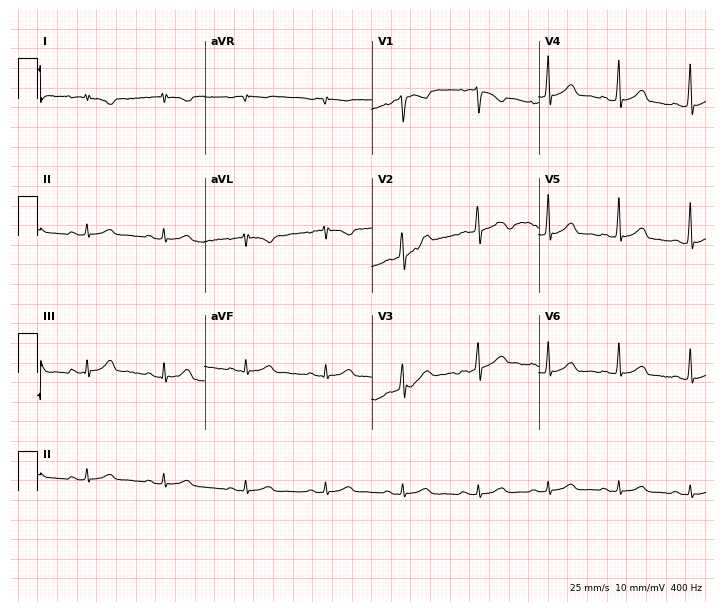
12-lead ECG from a 23-year-old female patient (6.8-second recording at 400 Hz). No first-degree AV block, right bundle branch block (RBBB), left bundle branch block (LBBB), sinus bradycardia, atrial fibrillation (AF) or sinus tachycardia recorded for this tracing. Other findings, if any, are not listed.